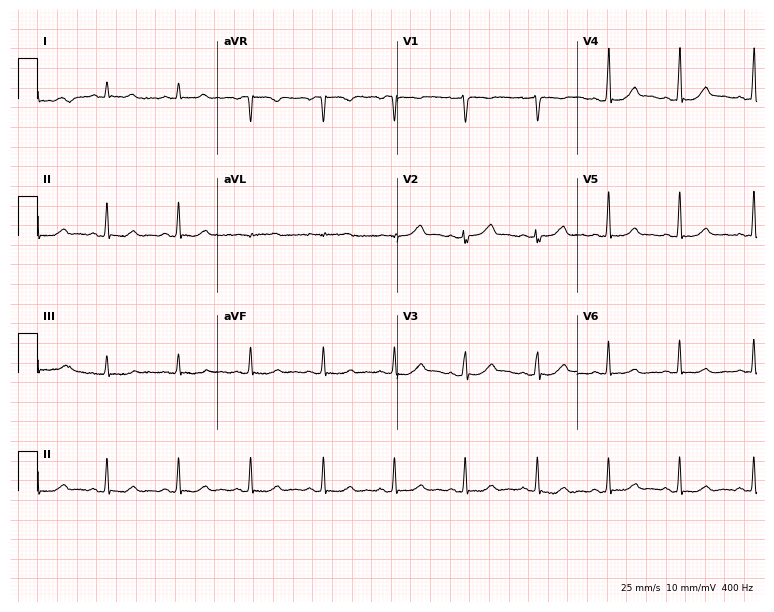
Resting 12-lead electrocardiogram. Patient: a female, 40 years old. Read as a normal ECG.